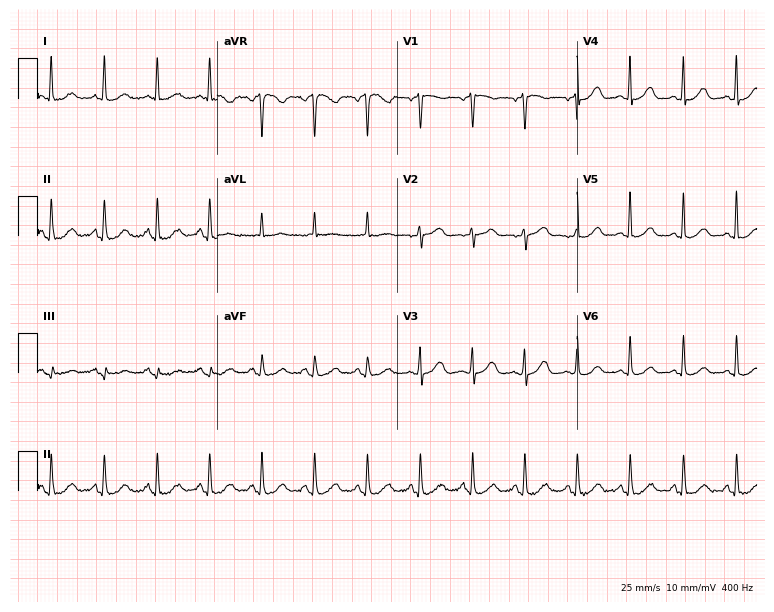
Standard 12-lead ECG recorded from a 74-year-old woman (7.3-second recording at 400 Hz). The tracing shows sinus tachycardia (a sinus rate of 100 beats per minute or more).